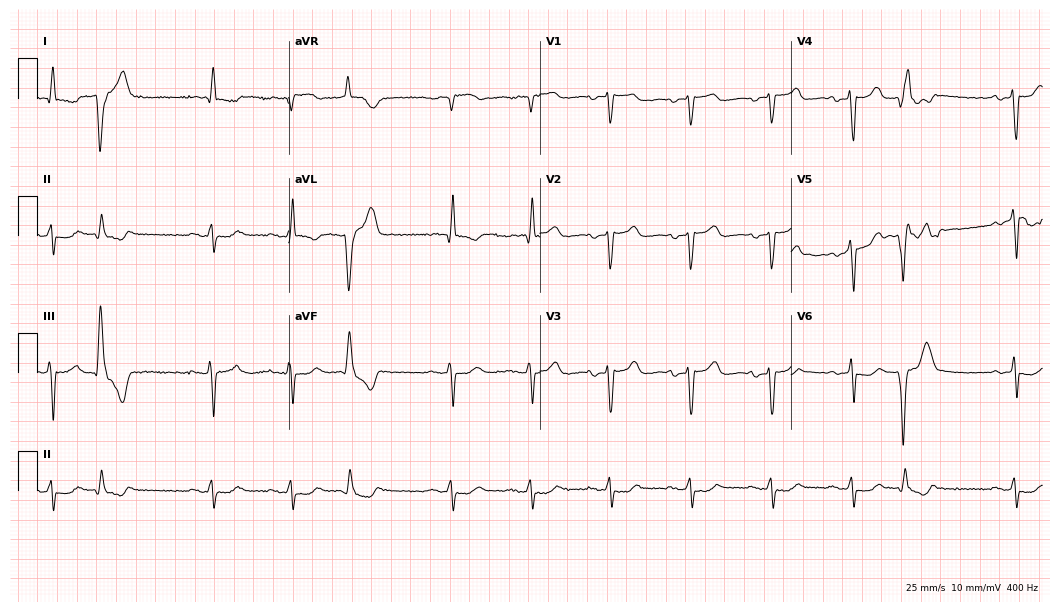
Electrocardiogram (10.2-second recording at 400 Hz), an 84-year-old female patient. Of the six screened findings (first-degree AV block, right bundle branch block (RBBB), left bundle branch block (LBBB), sinus bradycardia, atrial fibrillation (AF), sinus tachycardia), none is recorded.